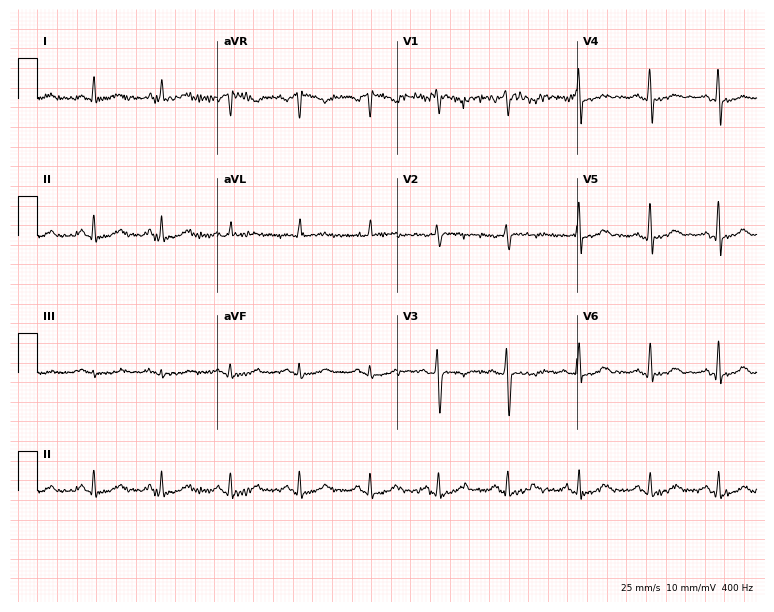
Electrocardiogram (7.3-second recording at 400 Hz), a 54-year-old female. Of the six screened findings (first-degree AV block, right bundle branch block, left bundle branch block, sinus bradycardia, atrial fibrillation, sinus tachycardia), none is recorded.